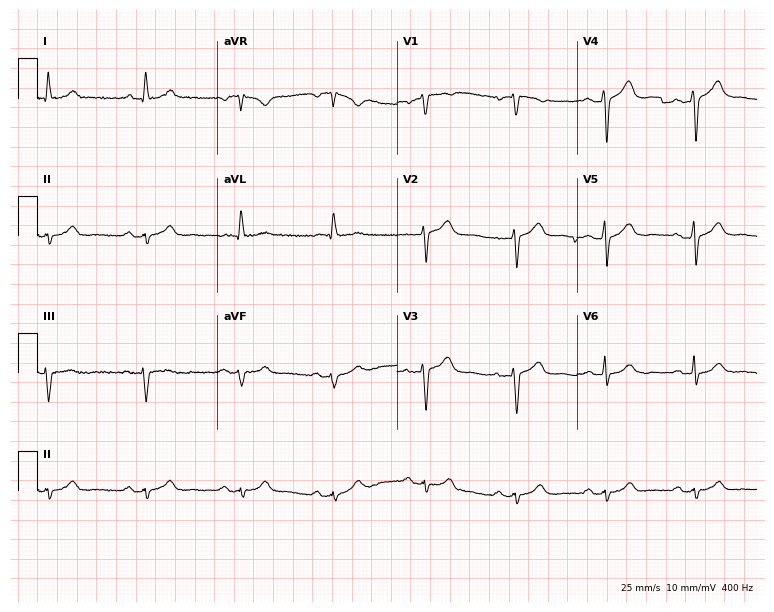
Standard 12-lead ECG recorded from a man, 66 years old. None of these six findings is recorded: first-degree AV block, right bundle branch block (RBBB), left bundle branch block (LBBB), sinus bradycardia, atrial fibrillation (AF), sinus tachycardia.